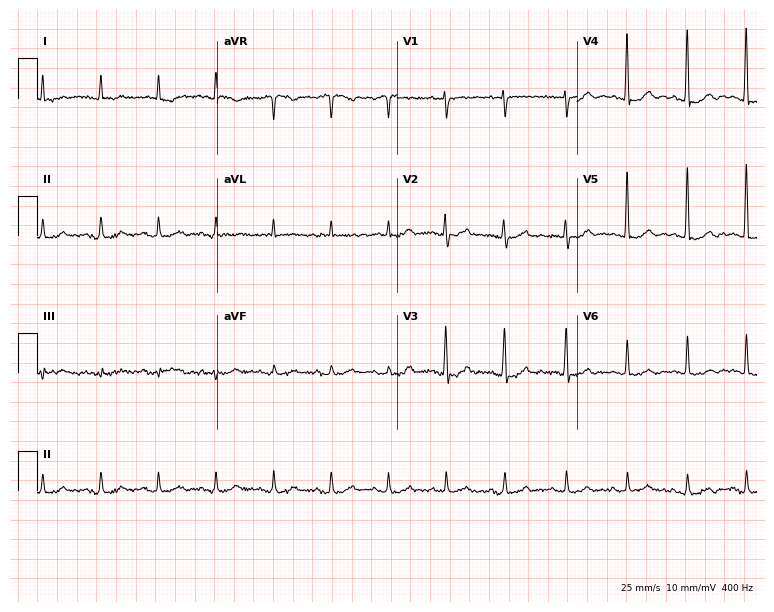
12-lead ECG from a 79-year-old male (7.3-second recording at 400 Hz). No first-degree AV block, right bundle branch block, left bundle branch block, sinus bradycardia, atrial fibrillation or sinus tachycardia recorded for this tracing. Only these six findings were labelled.